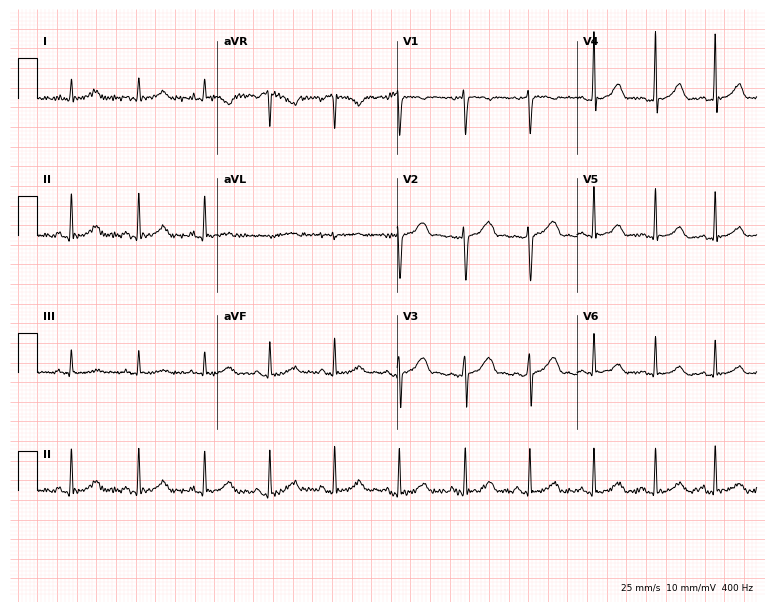
12-lead ECG (7.3-second recording at 400 Hz) from a 20-year-old female. Screened for six findings — first-degree AV block, right bundle branch block, left bundle branch block, sinus bradycardia, atrial fibrillation, sinus tachycardia — none is recorded.